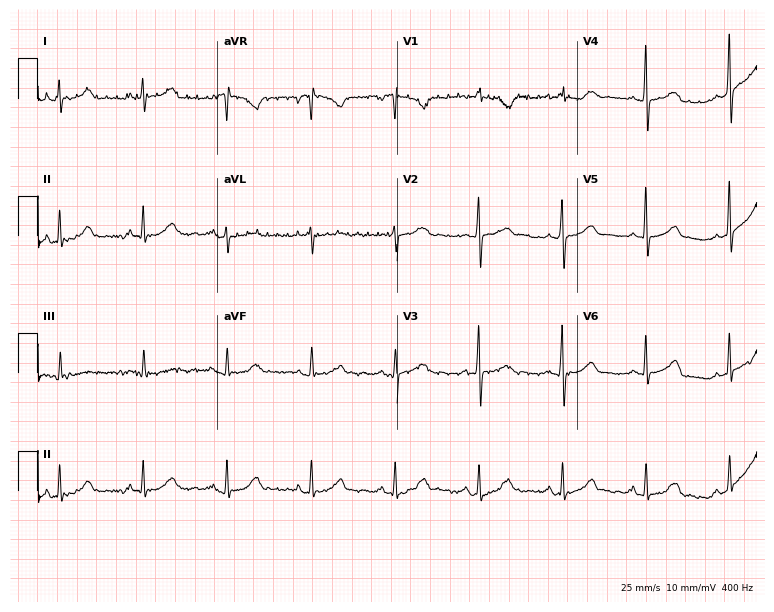
ECG (7.3-second recording at 400 Hz) — a female patient, 57 years old. Screened for six findings — first-degree AV block, right bundle branch block (RBBB), left bundle branch block (LBBB), sinus bradycardia, atrial fibrillation (AF), sinus tachycardia — none is recorded. Findings outside these six are not listed.